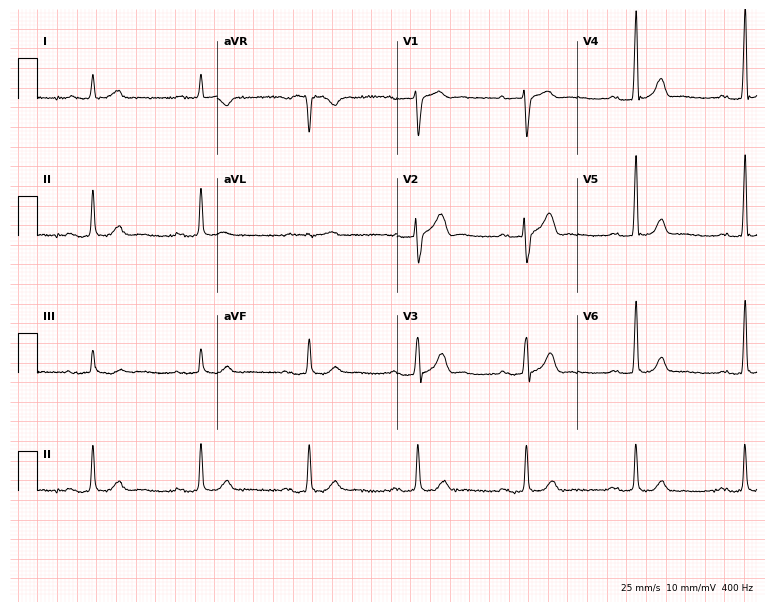
12-lead ECG from a 77-year-old man. Labelled as a normal ECG.